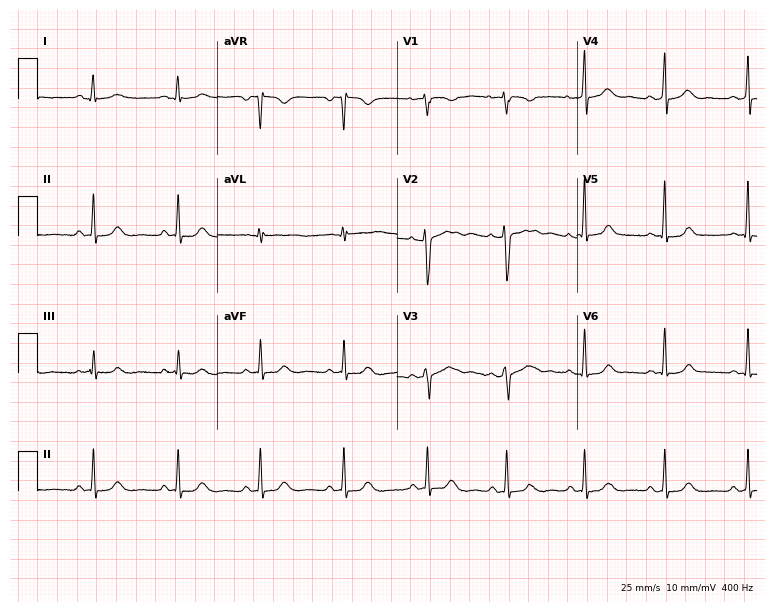
Standard 12-lead ECG recorded from a 32-year-old female. None of these six findings is recorded: first-degree AV block, right bundle branch block (RBBB), left bundle branch block (LBBB), sinus bradycardia, atrial fibrillation (AF), sinus tachycardia.